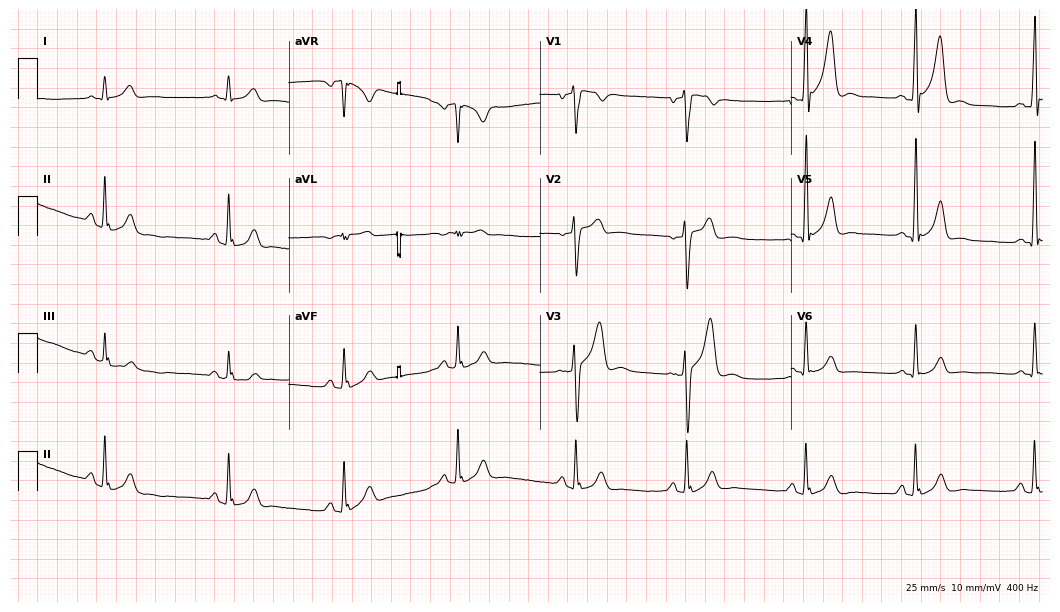
Electrocardiogram (10.2-second recording at 400 Hz), a male, 25 years old. Overall reading on record: normal ECG.